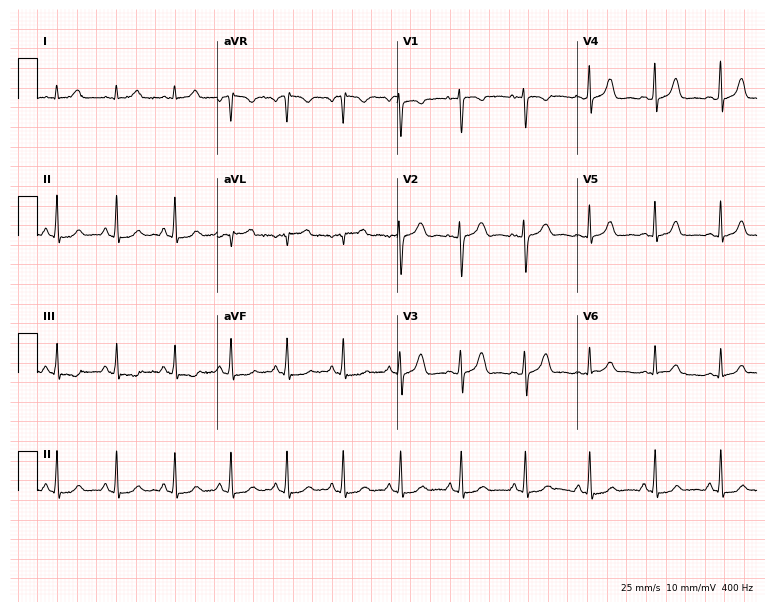
Resting 12-lead electrocardiogram. Patient: a woman, 26 years old. None of these six findings is recorded: first-degree AV block, right bundle branch block, left bundle branch block, sinus bradycardia, atrial fibrillation, sinus tachycardia.